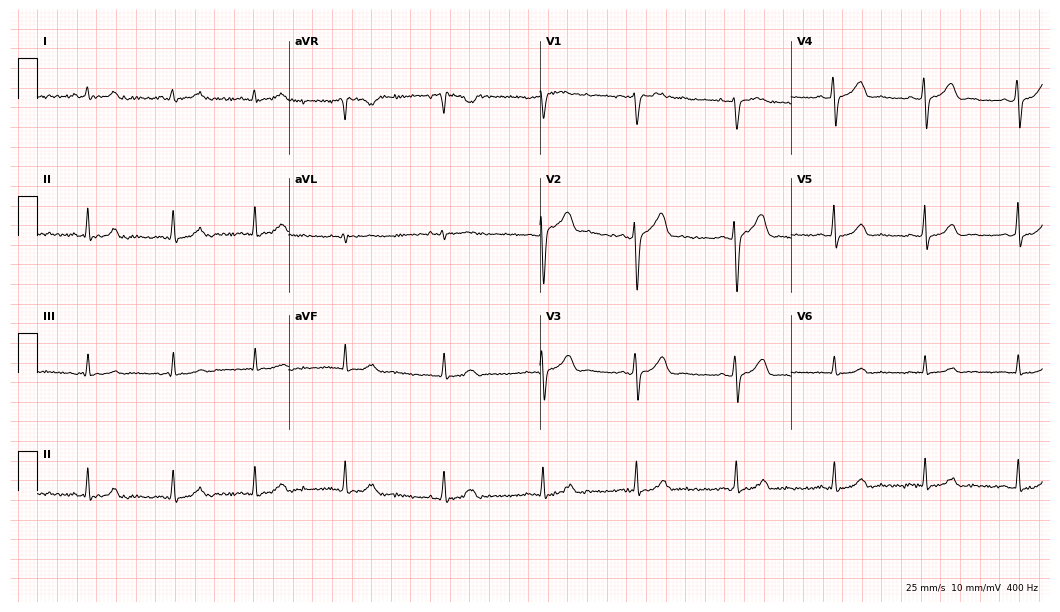
Electrocardiogram (10.2-second recording at 400 Hz), a female, 25 years old. Overall reading on record: normal ECG.